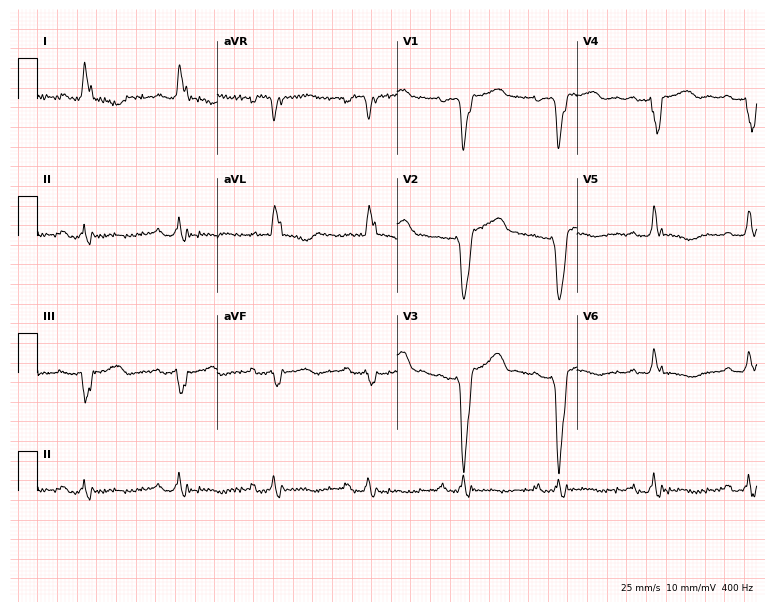
Electrocardiogram, a female, 70 years old. Of the six screened findings (first-degree AV block, right bundle branch block (RBBB), left bundle branch block (LBBB), sinus bradycardia, atrial fibrillation (AF), sinus tachycardia), none is recorded. Only these six findings were labelled.